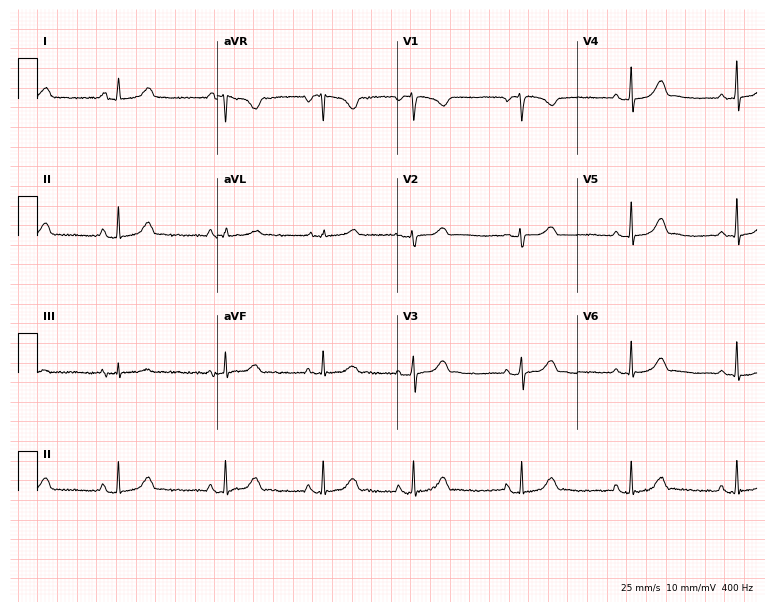
ECG (7.3-second recording at 400 Hz) — a female patient, 20 years old. Labelled as a normal ECG.